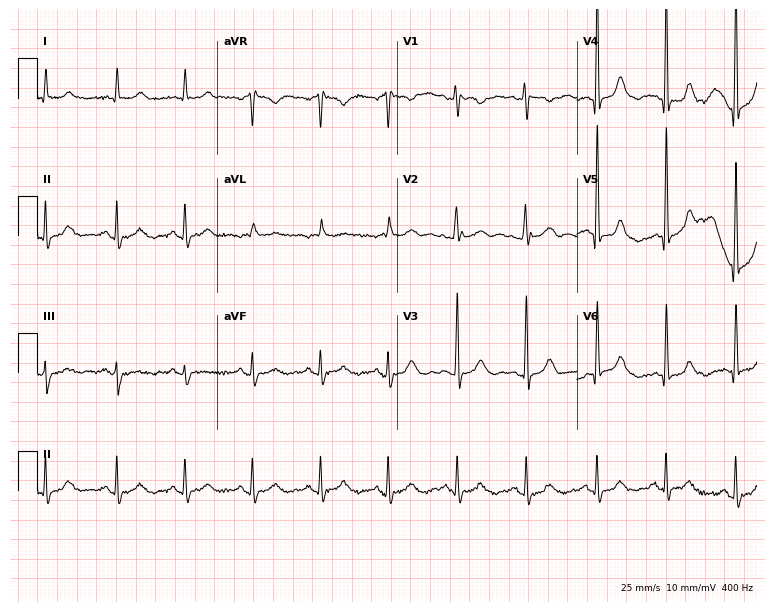
ECG (7.3-second recording at 400 Hz) — a 59-year-old woman. Labelled as a normal ECG.